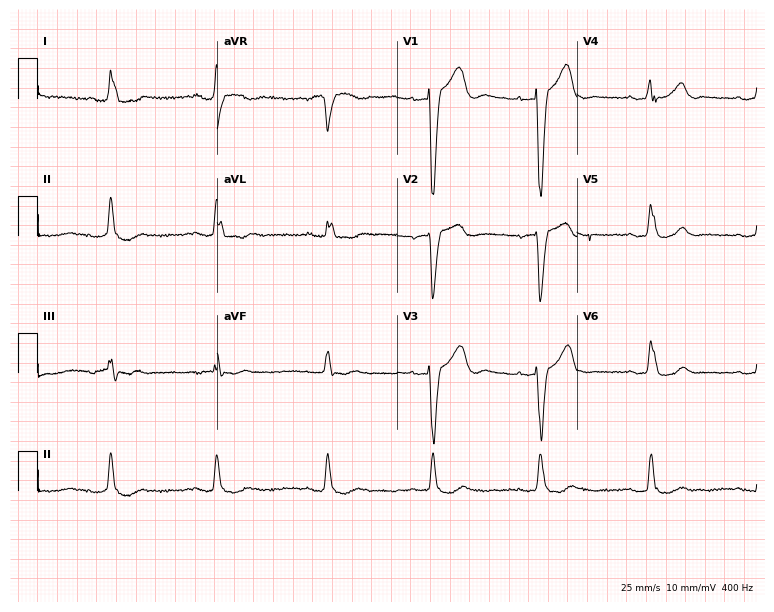
12-lead ECG from a female, 76 years old. Findings include left bundle branch block.